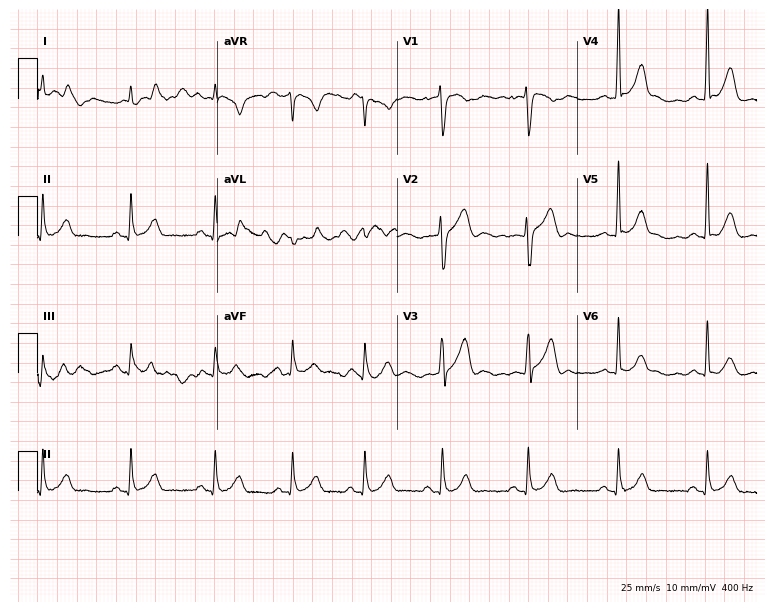
Resting 12-lead electrocardiogram (7.3-second recording at 400 Hz). Patient: a 38-year-old male. None of these six findings is recorded: first-degree AV block, right bundle branch block, left bundle branch block, sinus bradycardia, atrial fibrillation, sinus tachycardia.